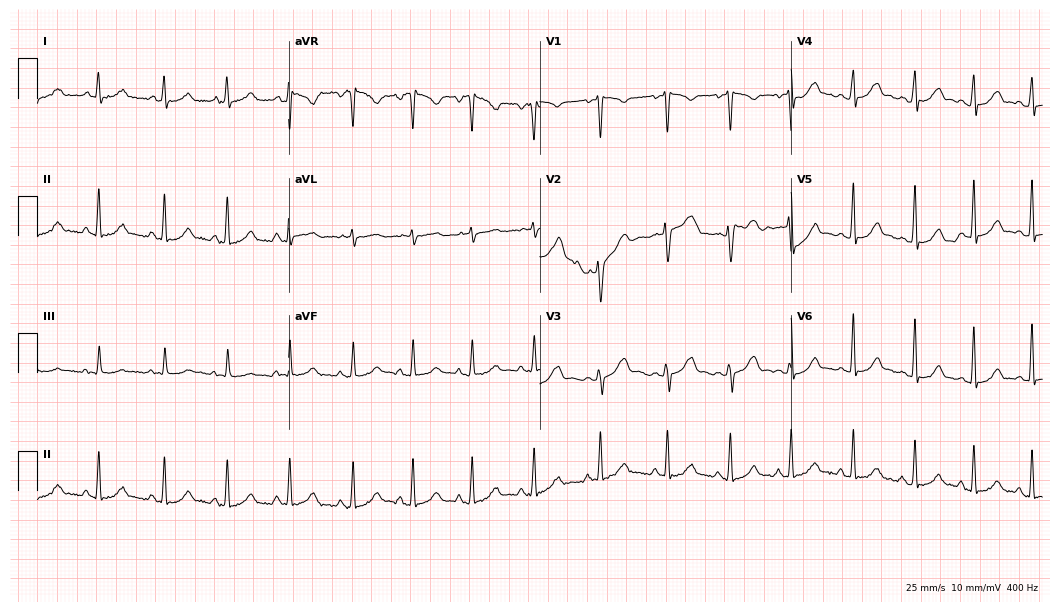
12-lead ECG from an 18-year-old female (10.2-second recording at 400 Hz). No first-degree AV block, right bundle branch block, left bundle branch block, sinus bradycardia, atrial fibrillation or sinus tachycardia recorded for this tracing. Only these six findings were labelled.